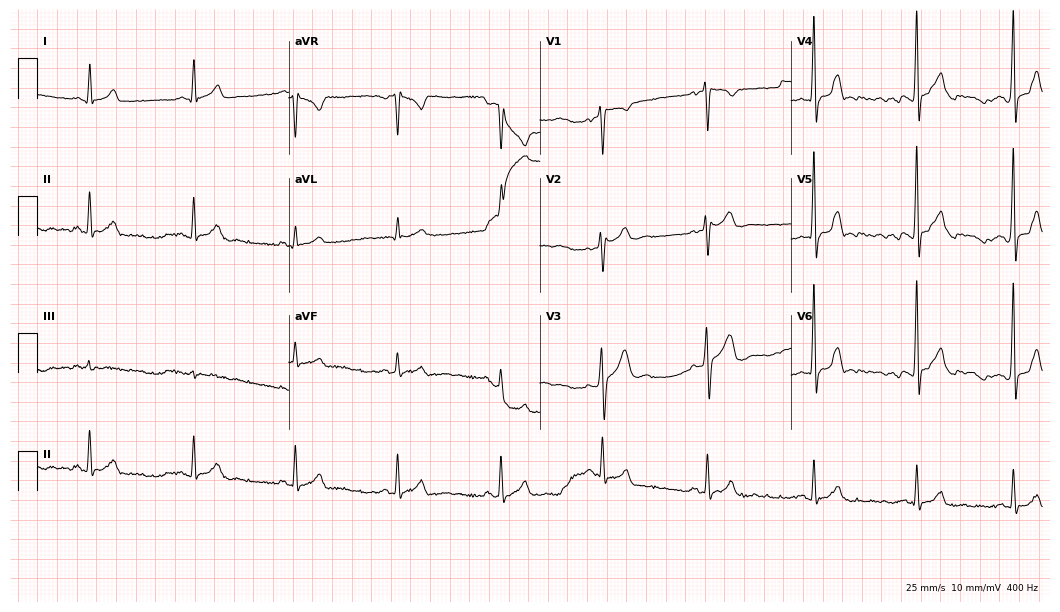
12-lead ECG from a man, 31 years old (10.2-second recording at 400 Hz). Recorded interpretation: within normal limits.